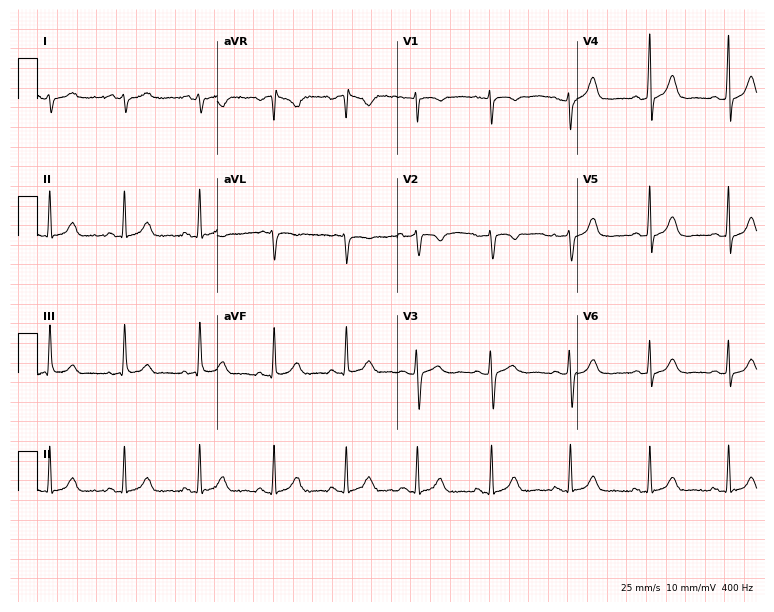
Electrocardiogram, a 21-year-old woman. Overall reading on record: normal ECG.